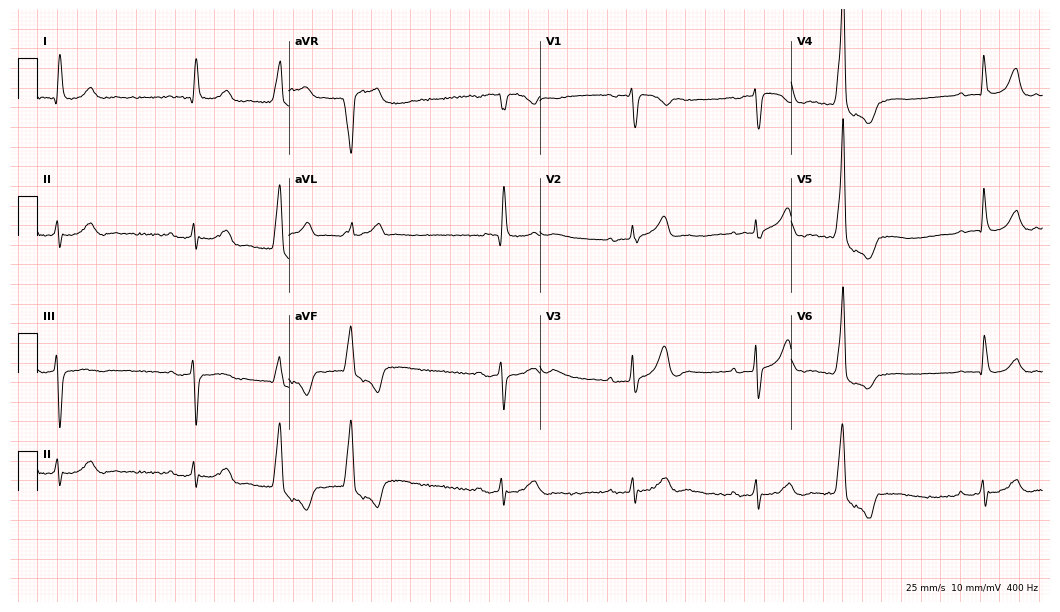
Electrocardiogram (10.2-second recording at 400 Hz), a man, 85 years old. Interpretation includes sinus bradycardia (a sinus rate of 50 beats per minute or less).